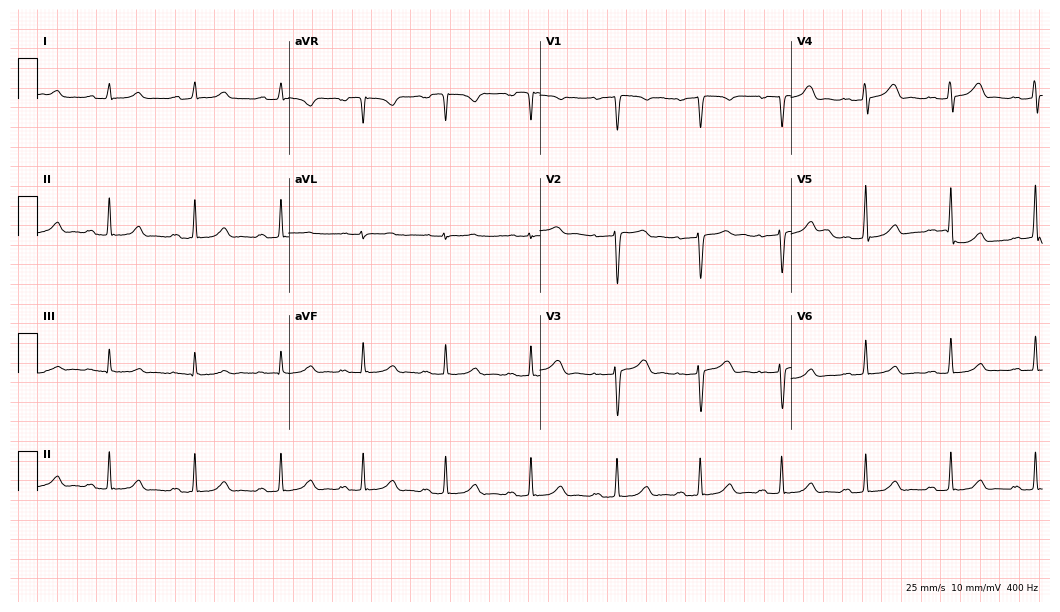
Resting 12-lead electrocardiogram. Patient: a 30-year-old female. The tracing shows first-degree AV block.